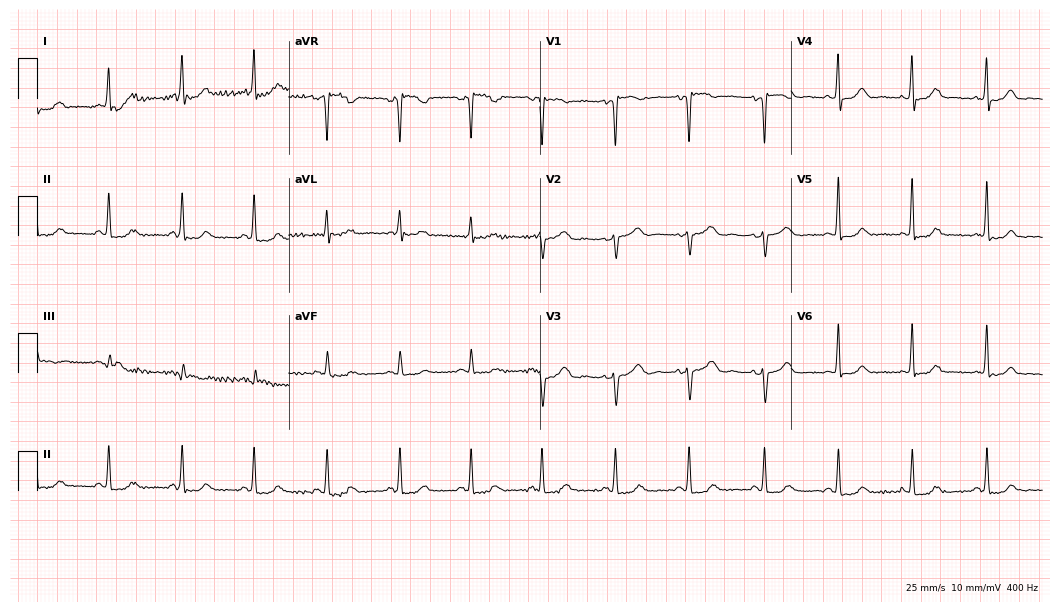
12-lead ECG from a female, 45 years old. Recorded interpretation: within normal limits.